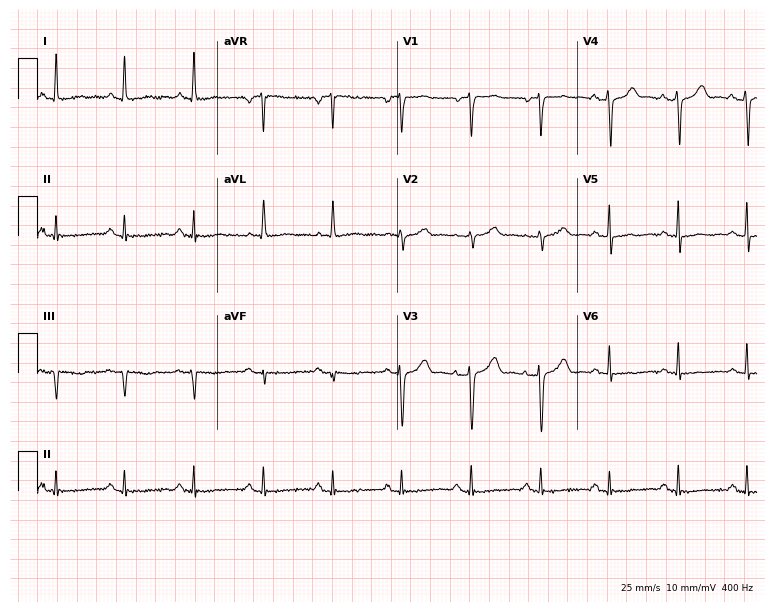
Standard 12-lead ECG recorded from a woman, 54 years old. None of these six findings is recorded: first-degree AV block, right bundle branch block (RBBB), left bundle branch block (LBBB), sinus bradycardia, atrial fibrillation (AF), sinus tachycardia. Findings outside these six are not listed.